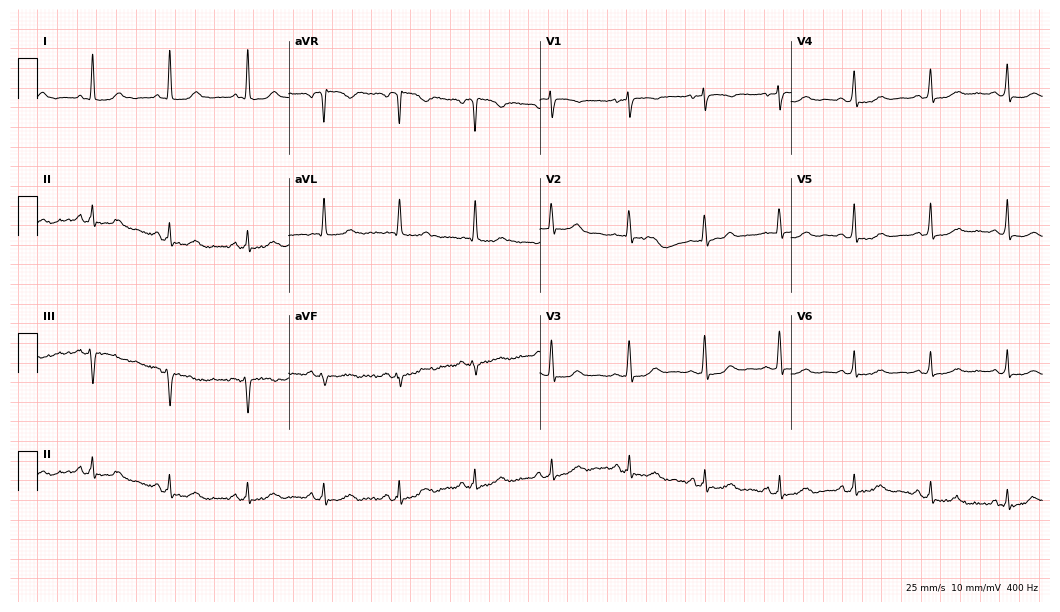
12-lead ECG (10.2-second recording at 400 Hz) from a female, 73 years old. Labelled as a normal ECG.